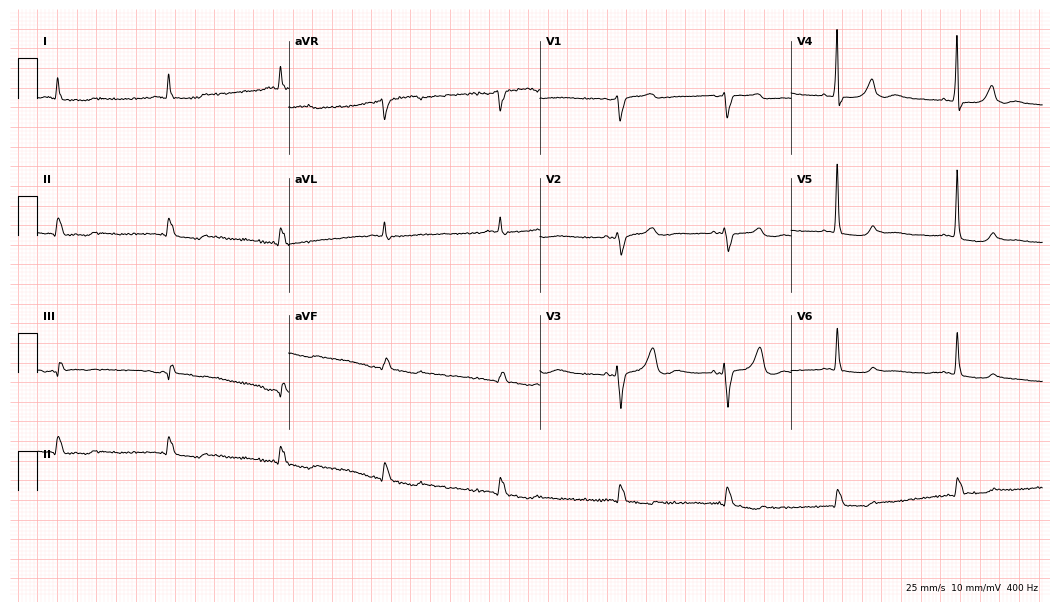
Electrocardiogram, a 65-year-old male patient. Of the six screened findings (first-degree AV block, right bundle branch block, left bundle branch block, sinus bradycardia, atrial fibrillation, sinus tachycardia), none is recorded.